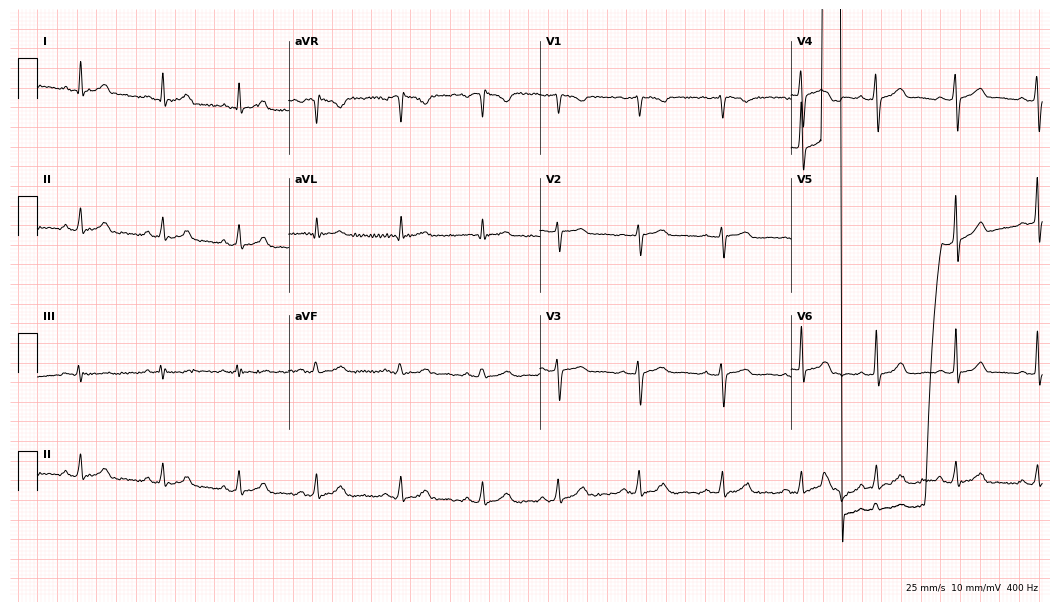
12-lead ECG from a female patient, 32 years old. Labelled as a normal ECG.